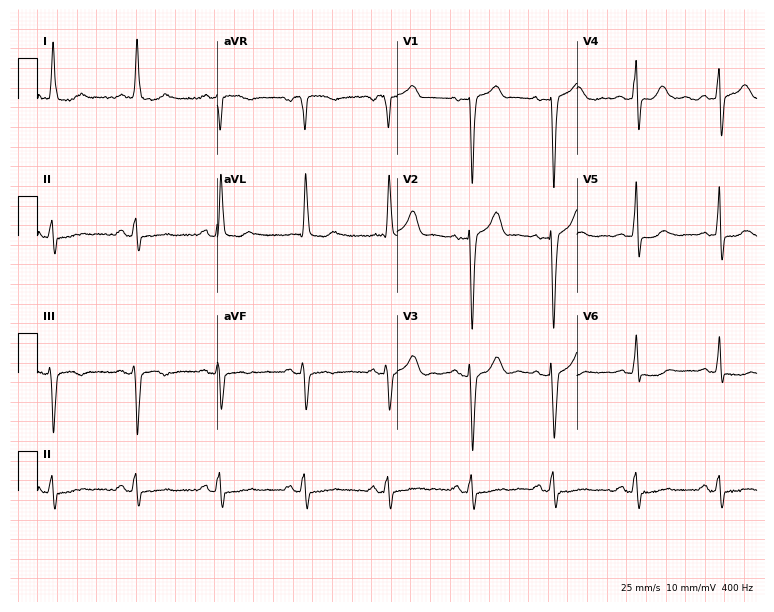
12-lead ECG from a woman, 76 years old. Screened for six findings — first-degree AV block, right bundle branch block, left bundle branch block, sinus bradycardia, atrial fibrillation, sinus tachycardia — none is recorded. Findings outside these six are not listed.